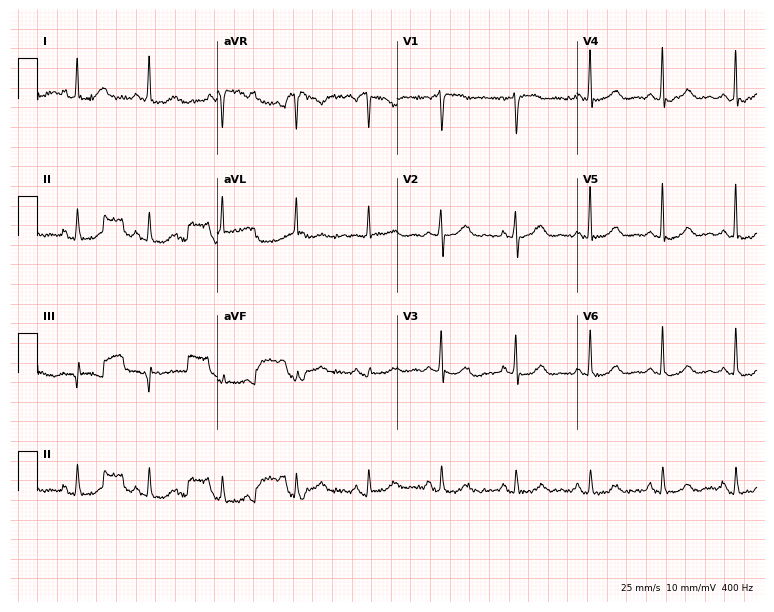
12-lead ECG from a woman, 70 years old. No first-degree AV block, right bundle branch block, left bundle branch block, sinus bradycardia, atrial fibrillation or sinus tachycardia recorded for this tracing. Findings outside these six are not listed.